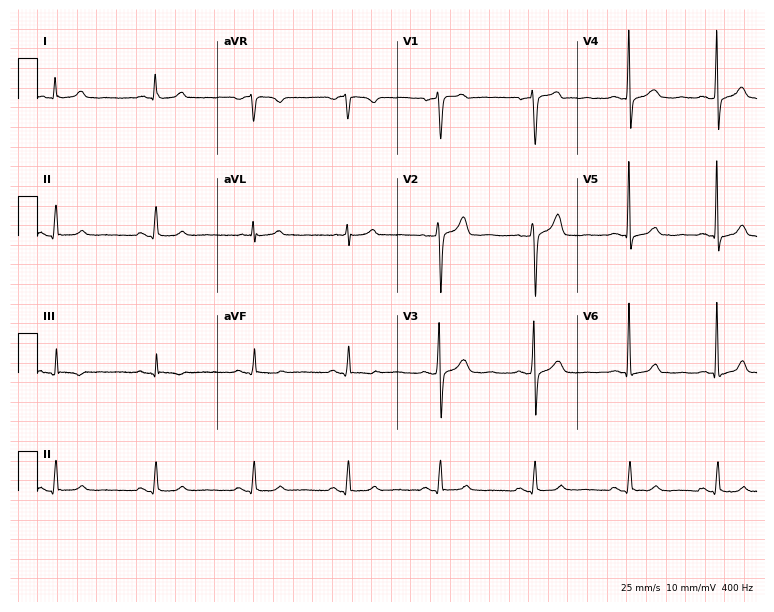
12-lead ECG from a 44-year-old male patient. Labelled as a normal ECG.